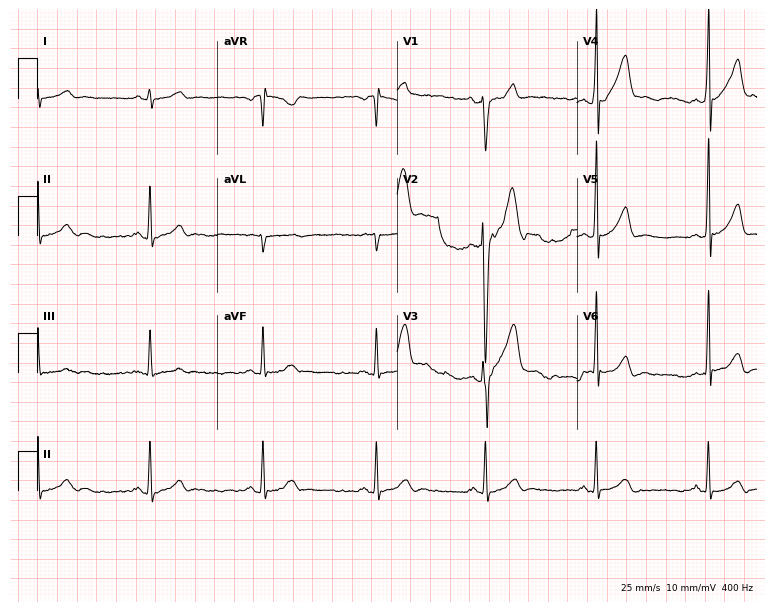
ECG (7.3-second recording at 400 Hz) — a 31-year-old male. Screened for six findings — first-degree AV block, right bundle branch block, left bundle branch block, sinus bradycardia, atrial fibrillation, sinus tachycardia — none is recorded.